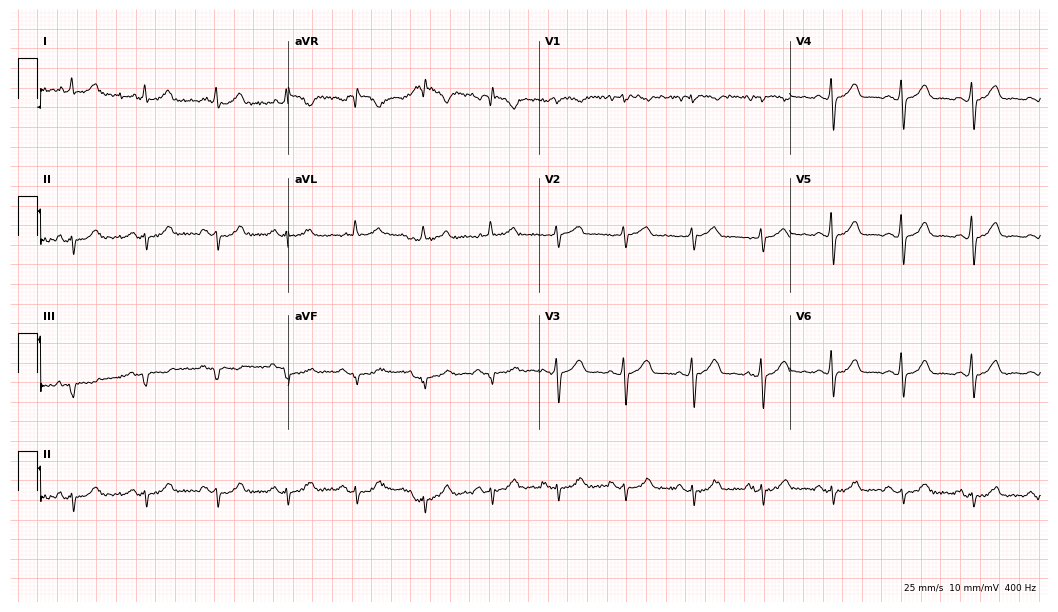
ECG (10.2-second recording at 400 Hz) — a woman, 58 years old. Screened for six findings — first-degree AV block, right bundle branch block (RBBB), left bundle branch block (LBBB), sinus bradycardia, atrial fibrillation (AF), sinus tachycardia — none is recorded. Only these six findings were labelled.